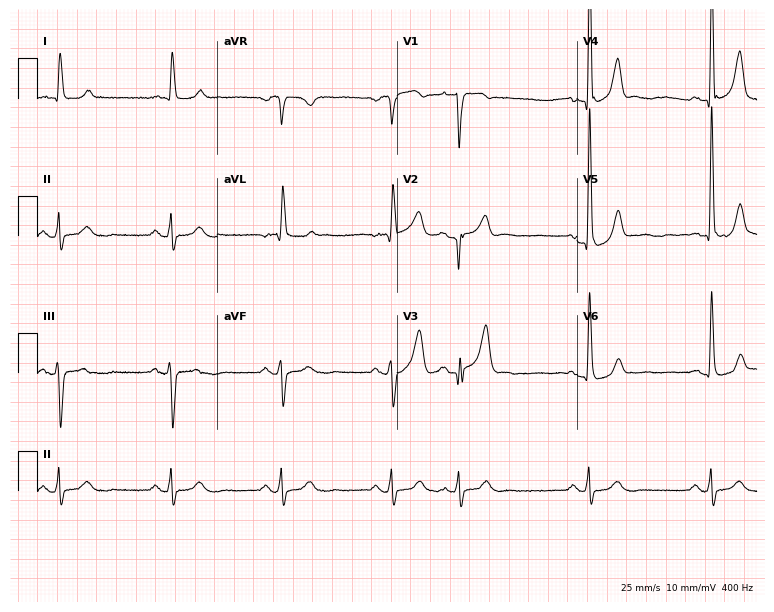
ECG — a male patient, 80 years old. Screened for six findings — first-degree AV block, right bundle branch block, left bundle branch block, sinus bradycardia, atrial fibrillation, sinus tachycardia — none is recorded. Only these six findings were labelled.